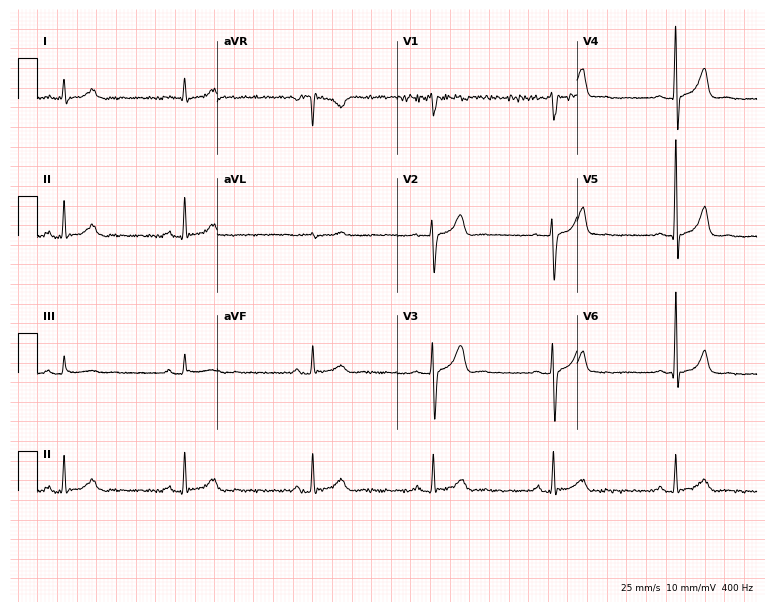
Standard 12-lead ECG recorded from a 25-year-old man. None of these six findings is recorded: first-degree AV block, right bundle branch block, left bundle branch block, sinus bradycardia, atrial fibrillation, sinus tachycardia. Only these six findings were labelled.